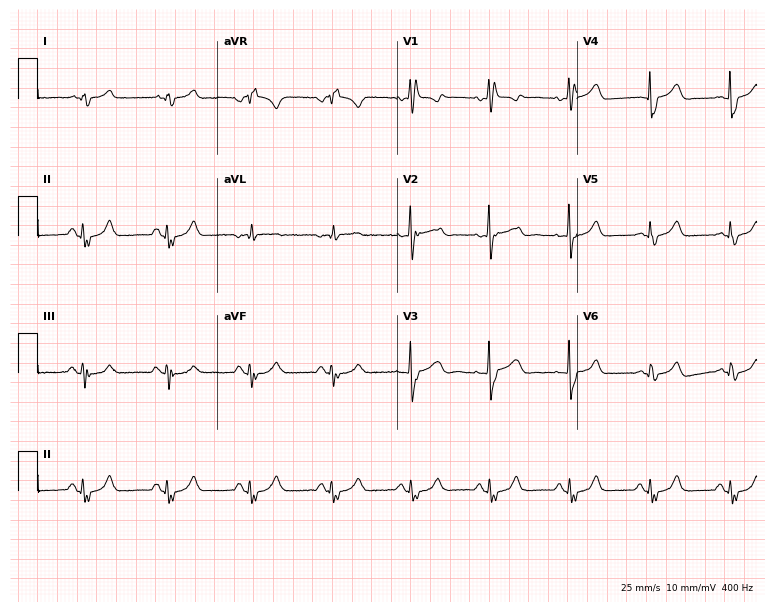
12-lead ECG from a female, 70 years old (7.3-second recording at 400 Hz). No first-degree AV block, right bundle branch block (RBBB), left bundle branch block (LBBB), sinus bradycardia, atrial fibrillation (AF) or sinus tachycardia recorded for this tracing.